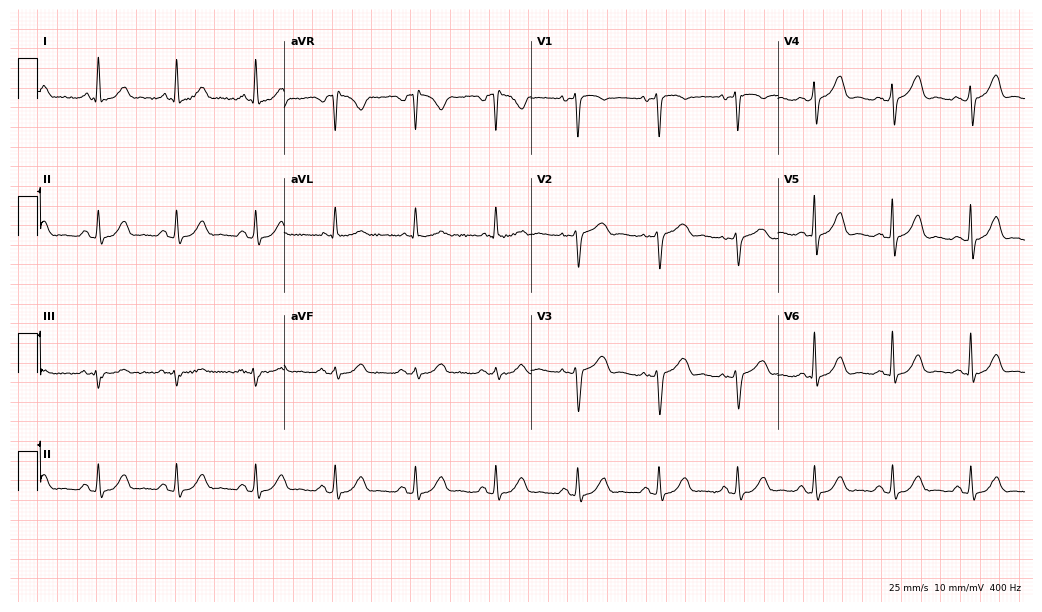
12-lead ECG from a female, 67 years old (10.1-second recording at 400 Hz). Recorded interpretation: within normal limits.